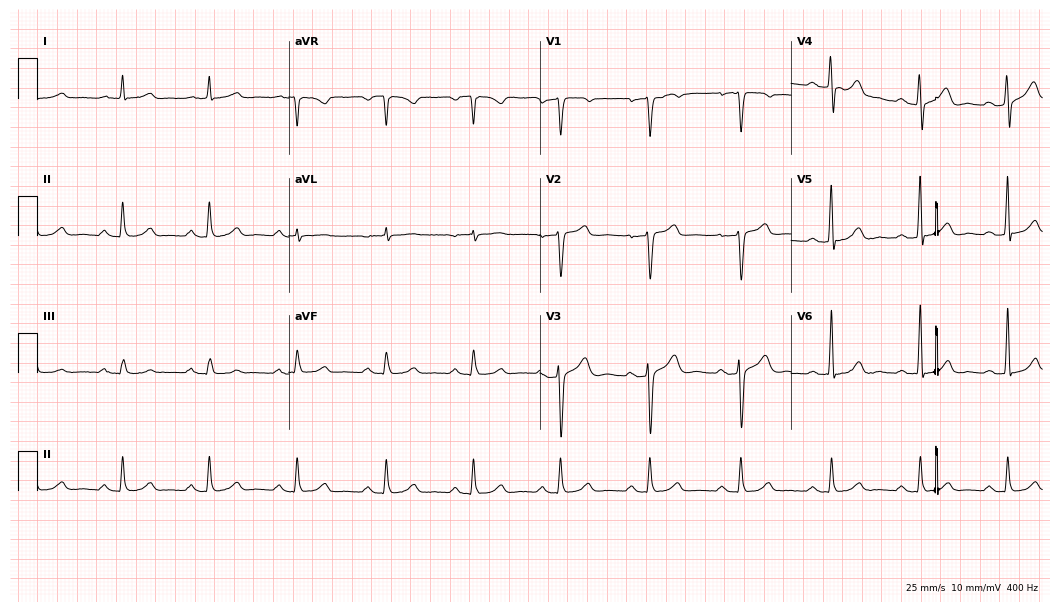
Standard 12-lead ECG recorded from a male patient, 43 years old (10.2-second recording at 400 Hz). Read as a normal ECG.